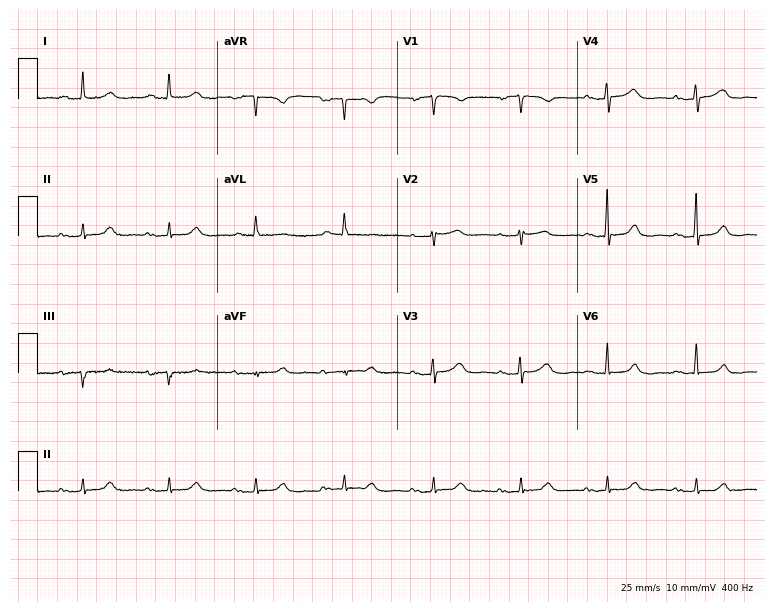
ECG (7.3-second recording at 400 Hz) — a female patient, 84 years old. Screened for six findings — first-degree AV block, right bundle branch block, left bundle branch block, sinus bradycardia, atrial fibrillation, sinus tachycardia — none is recorded. Only these six findings were labelled.